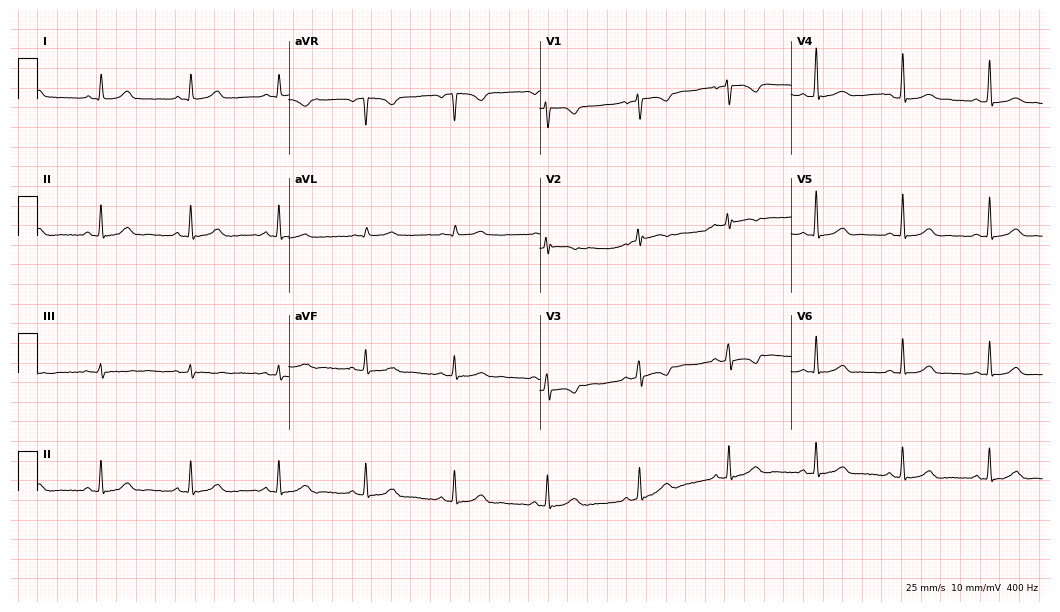
Resting 12-lead electrocardiogram. Patient: a woman, 45 years old. Read as a normal ECG.